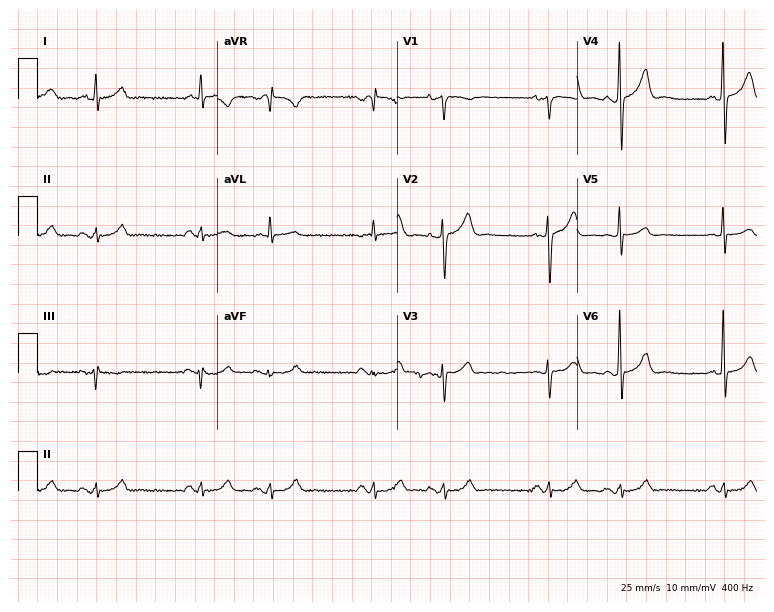
Standard 12-lead ECG recorded from a male patient, 68 years old (7.3-second recording at 400 Hz). None of these six findings is recorded: first-degree AV block, right bundle branch block (RBBB), left bundle branch block (LBBB), sinus bradycardia, atrial fibrillation (AF), sinus tachycardia. Only these six findings were labelled.